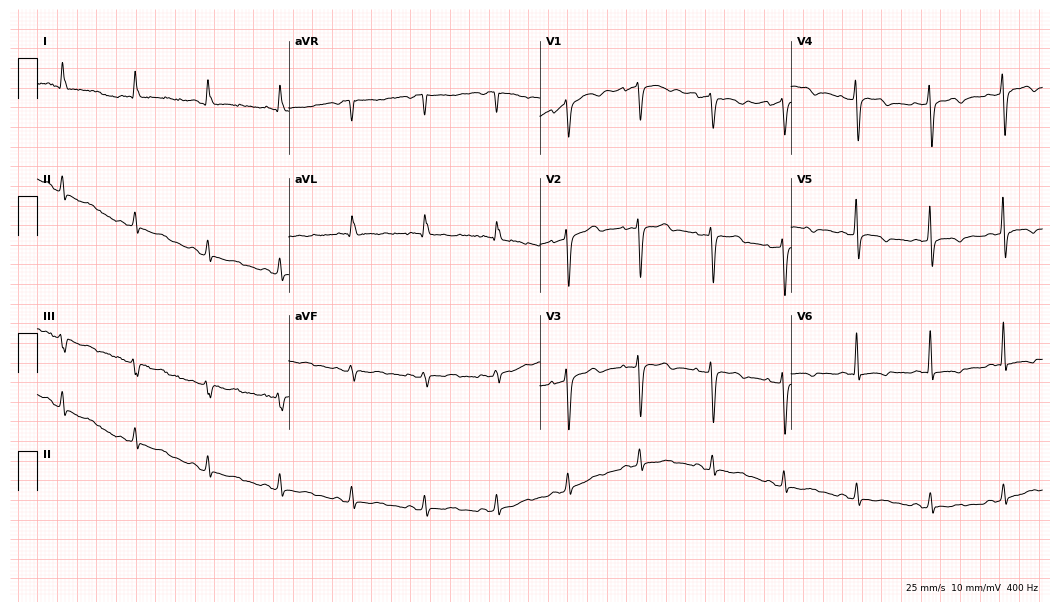
Electrocardiogram, a 66-year-old female patient. Overall reading on record: normal ECG.